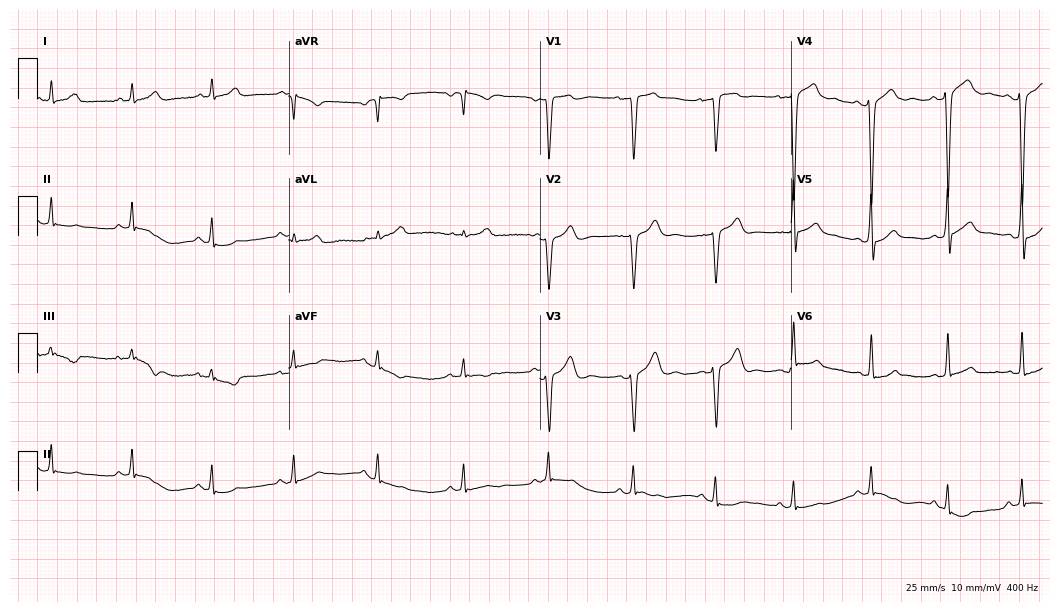
12-lead ECG from a man, 22 years old (10.2-second recording at 400 Hz). No first-degree AV block, right bundle branch block, left bundle branch block, sinus bradycardia, atrial fibrillation or sinus tachycardia recorded for this tracing. Only these six findings were labelled.